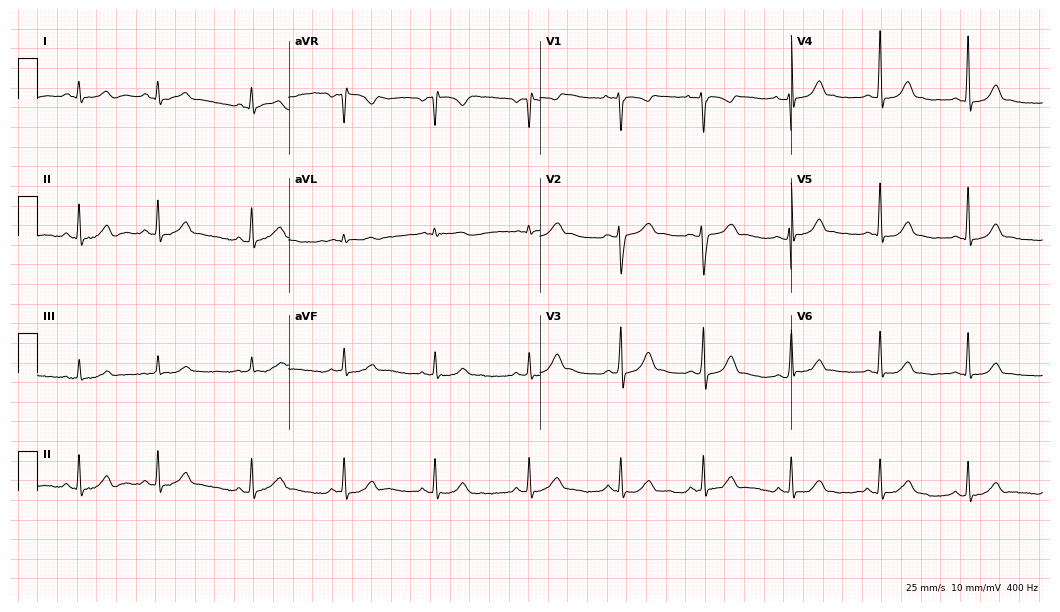
12-lead ECG from a female, 30 years old. No first-degree AV block, right bundle branch block, left bundle branch block, sinus bradycardia, atrial fibrillation or sinus tachycardia recorded for this tracing.